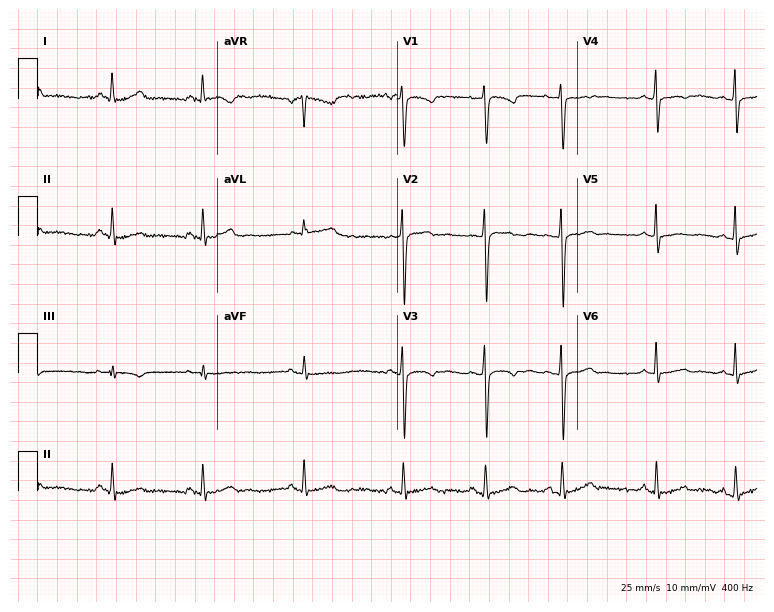
Standard 12-lead ECG recorded from a 26-year-old woman. None of these six findings is recorded: first-degree AV block, right bundle branch block, left bundle branch block, sinus bradycardia, atrial fibrillation, sinus tachycardia. Other findings, if any, are not listed.